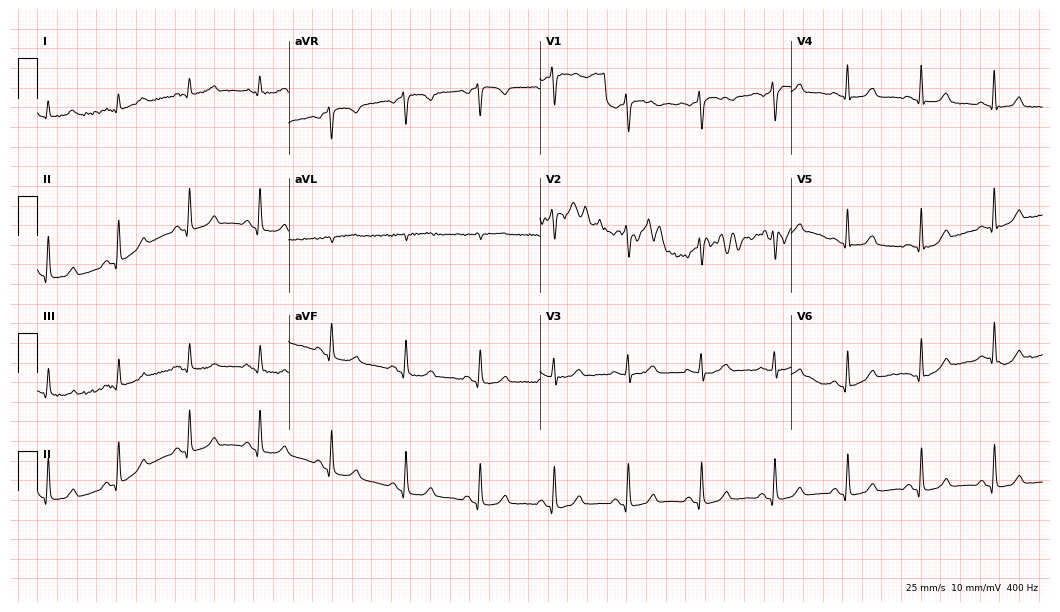
ECG — a 75-year-old female patient. Labelled as a normal ECG.